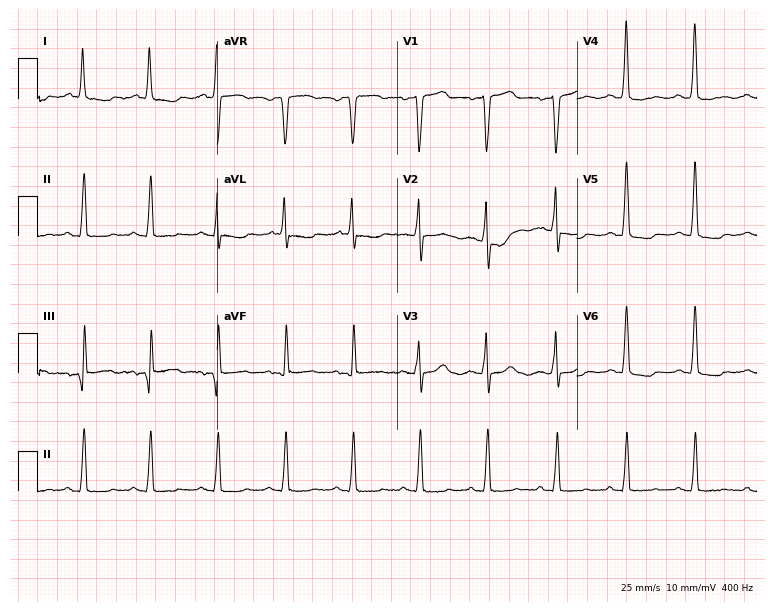
12-lead ECG from a 69-year-old woman (7.3-second recording at 400 Hz). No first-degree AV block, right bundle branch block, left bundle branch block, sinus bradycardia, atrial fibrillation or sinus tachycardia recorded for this tracing. Other findings, if any, are not listed.